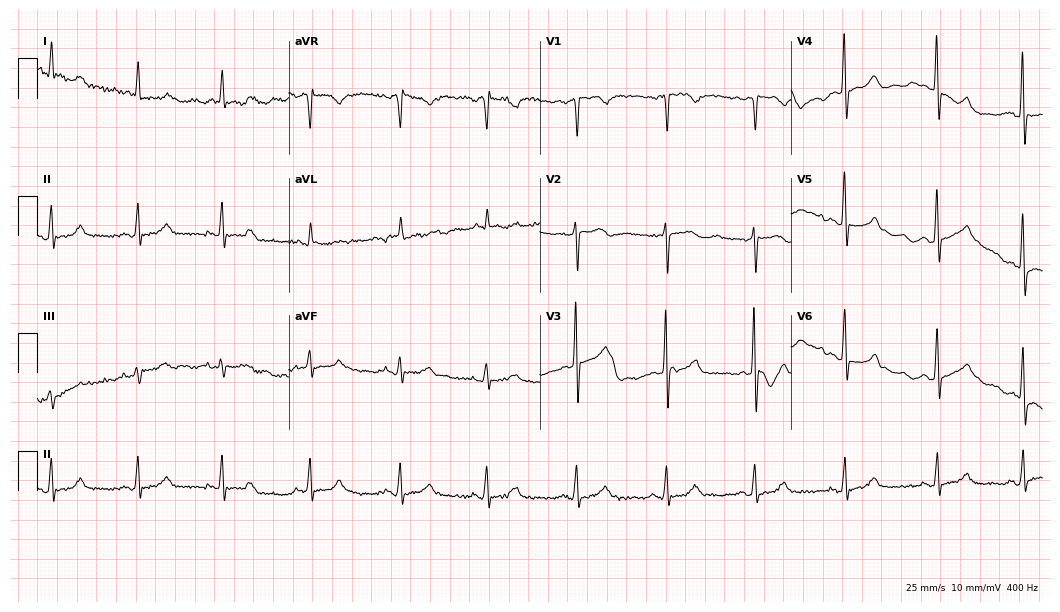
ECG — an 82-year-old woman. Screened for six findings — first-degree AV block, right bundle branch block, left bundle branch block, sinus bradycardia, atrial fibrillation, sinus tachycardia — none is recorded.